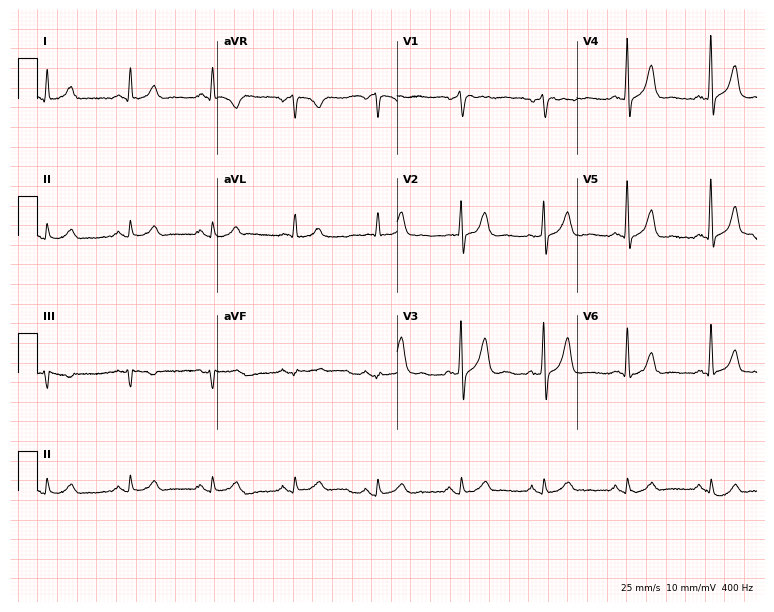
Electrocardiogram (7.3-second recording at 400 Hz), a 79-year-old man. Overall reading on record: normal ECG.